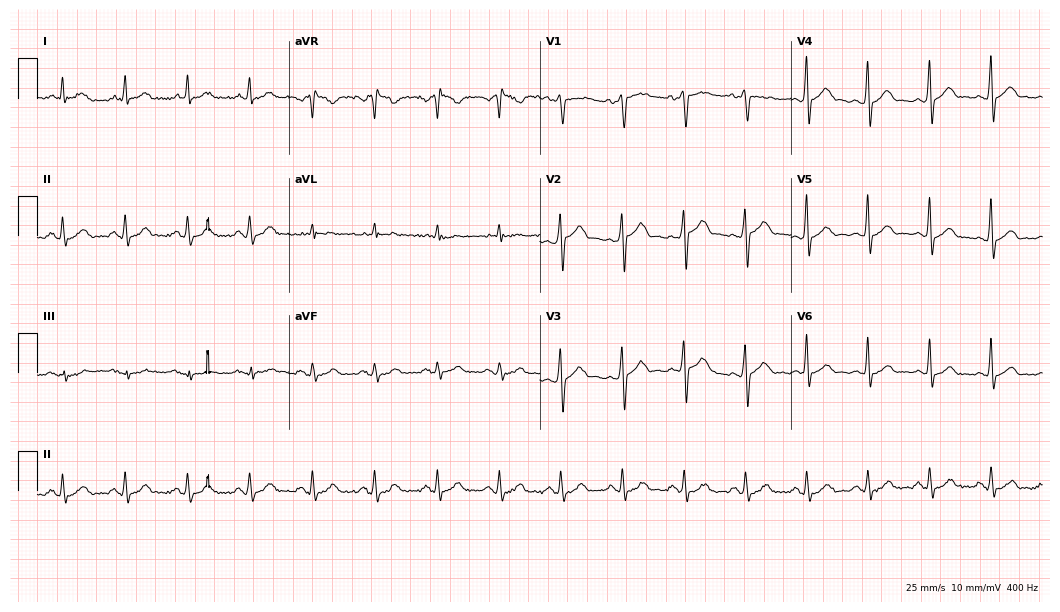
Standard 12-lead ECG recorded from a 50-year-old man. None of these six findings is recorded: first-degree AV block, right bundle branch block, left bundle branch block, sinus bradycardia, atrial fibrillation, sinus tachycardia. Findings outside these six are not listed.